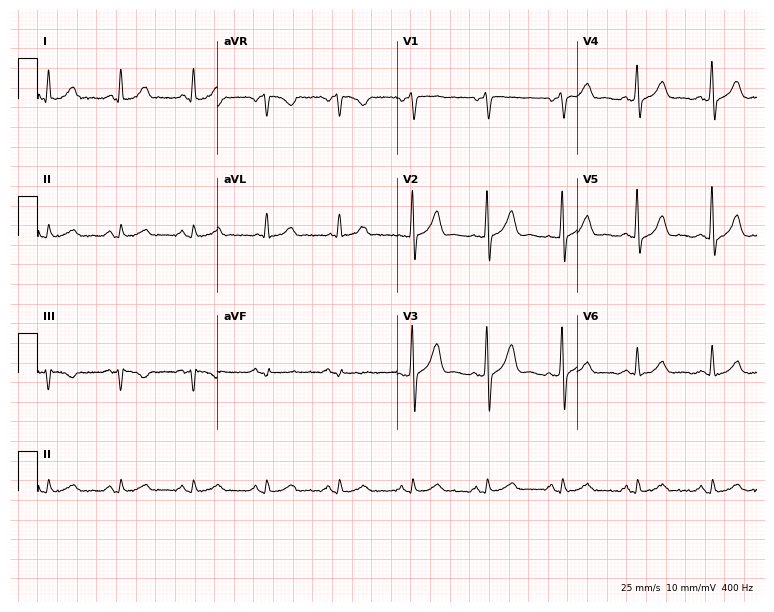
Resting 12-lead electrocardiogram. Patient: a 79-year-old man. Read as a normal ECG.